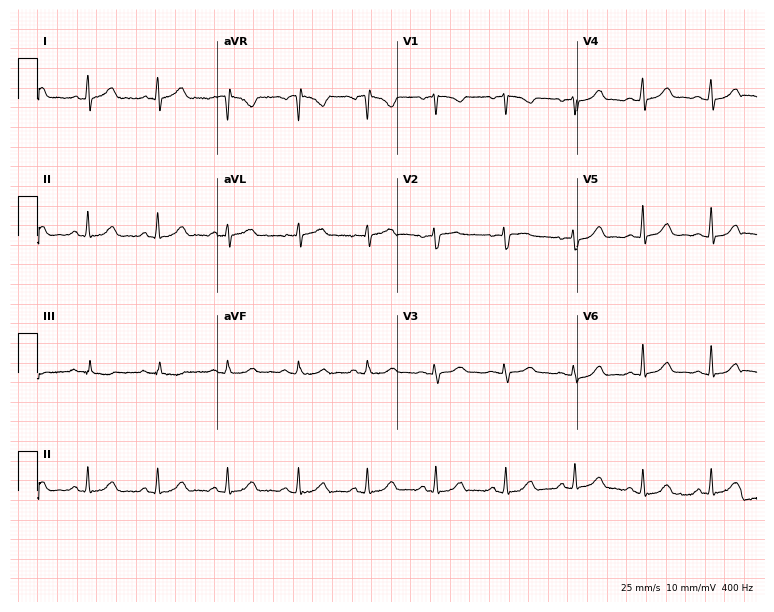
12-lead ECG (7.3-second recording at 400 Hz) from a 46-year-old female patient. Labelled as a normal ECG.